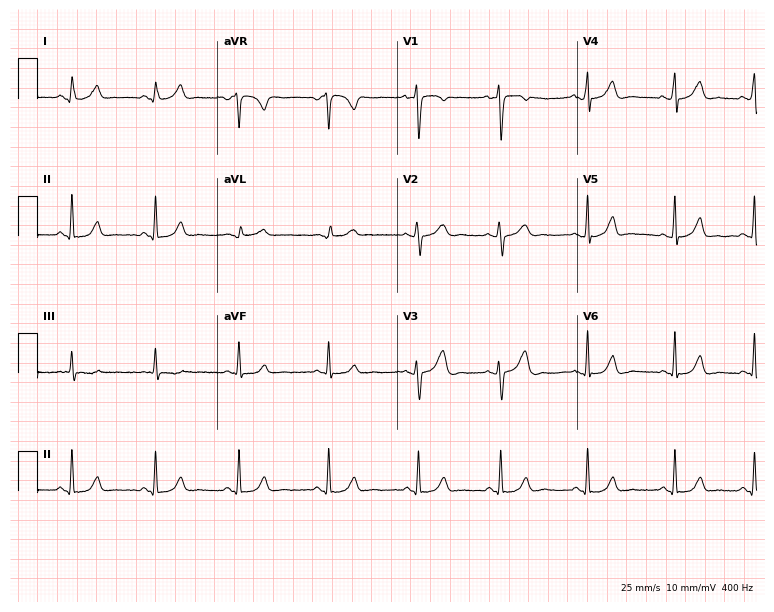
Resting 12-lead electrocardiogram (7.3-second recording at 400 Hz). Patient: a woman, 29 years old. Read as a normal ECG.